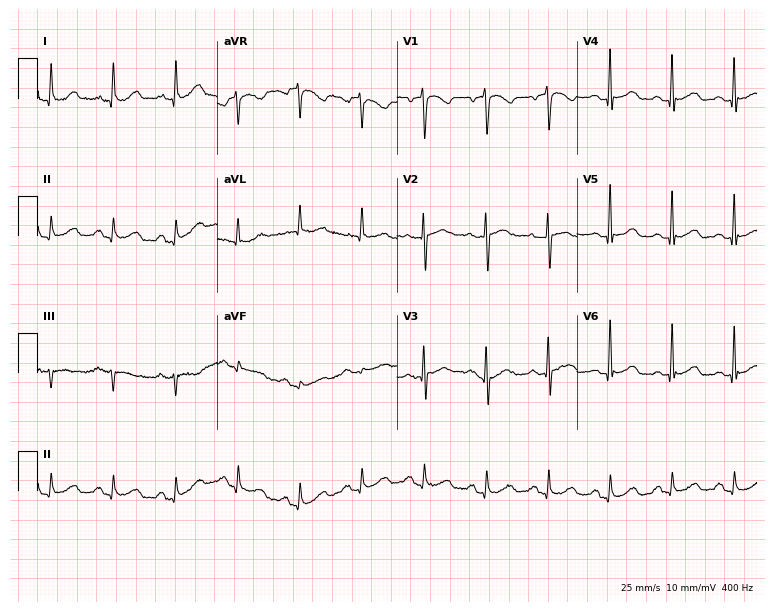
12-lead ECG (7.3-second recording at 400 Hz) from a female, 70 years old. Screened for six findings — first-degree AV block, right bundle branch block (RBBB), left bundle branch block (LBBB), sinus bradycardia, atrial fibrillation (AF), sinus tachycardia — none is recorded. Only these six findings were labelled.